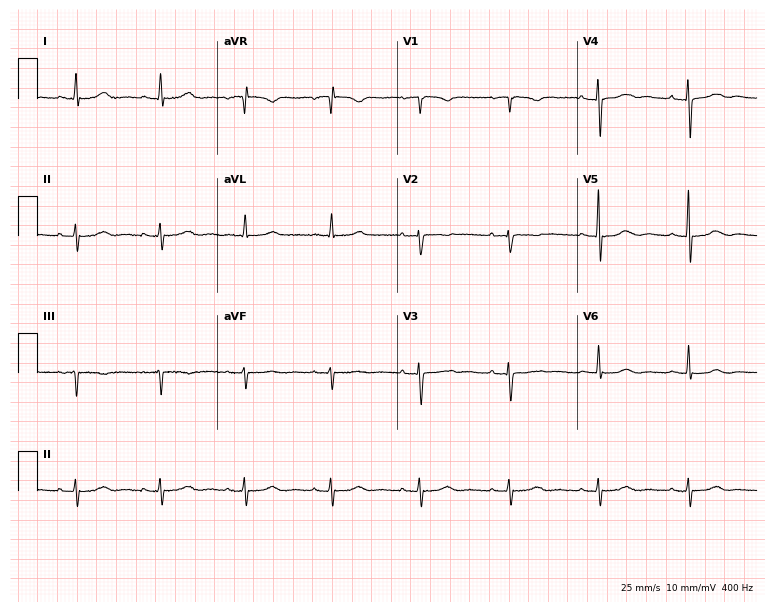
12-lead ECG from a female patient, 78 years old. No first-degree AV block, right bundle branch block, left bundle branch block, sinus bradycardia, atrial fibrillation or sinus tachycardia recorded for this tracing.